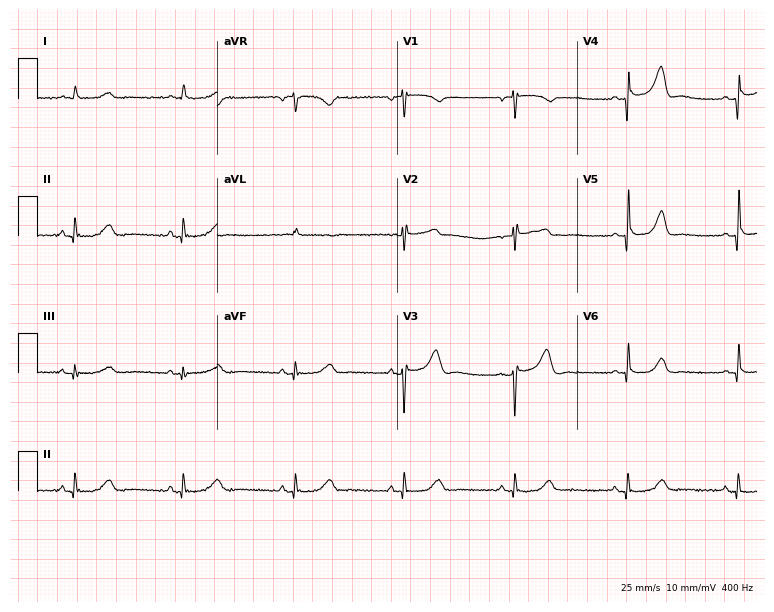
Resting 12-lead electrocardiogram. Patient: a 54-year-old woman. None of these six findings is recorded: first-degree AV block, right bundle branch block (RBBB), left bundle branch block (LBBB), sinus bradycardia, atrial fibrillation (AF), sinus tachycardia.